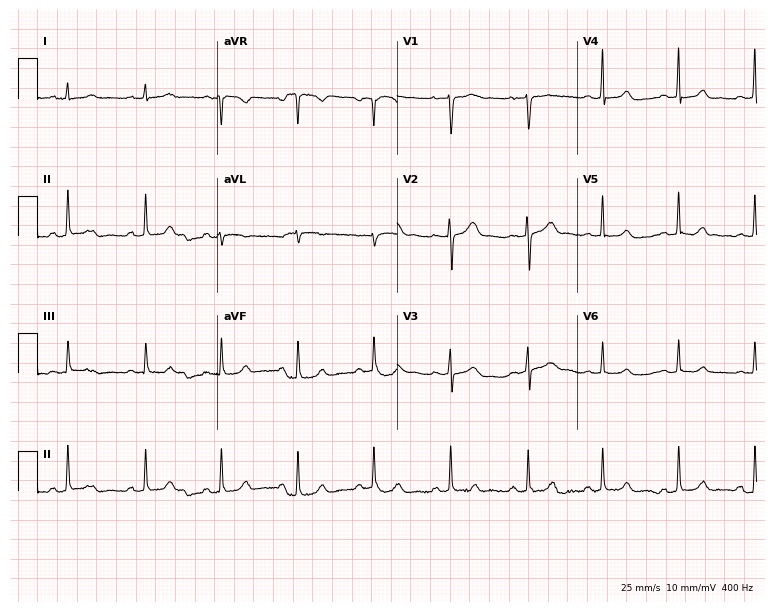
12-lead ECG from a woman, 27 years old. Labelled as a normal ECG.